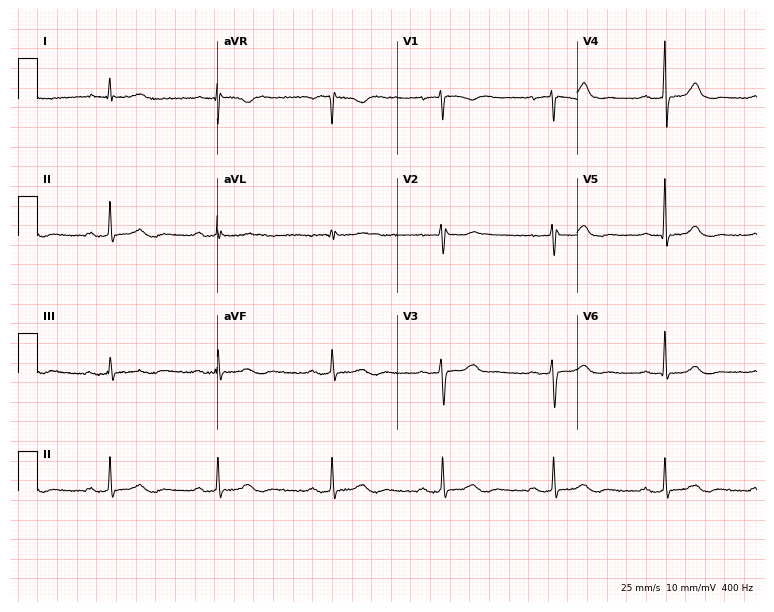
ECG — a female, 69 years old. Findings include first-degree AV block.